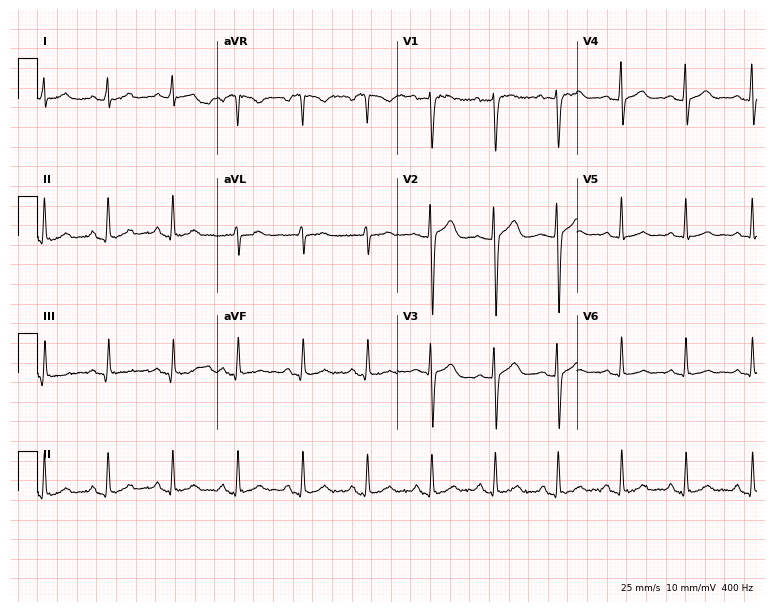
12-lead ECG from a 33-year-old male patient. No first-degree AV block, right bundle branch block, left bundle branch block, sinus bradycardia, atrial fibrillation or sinus tachycardia recorded for this tracing. Other findings, if any, are not listed.